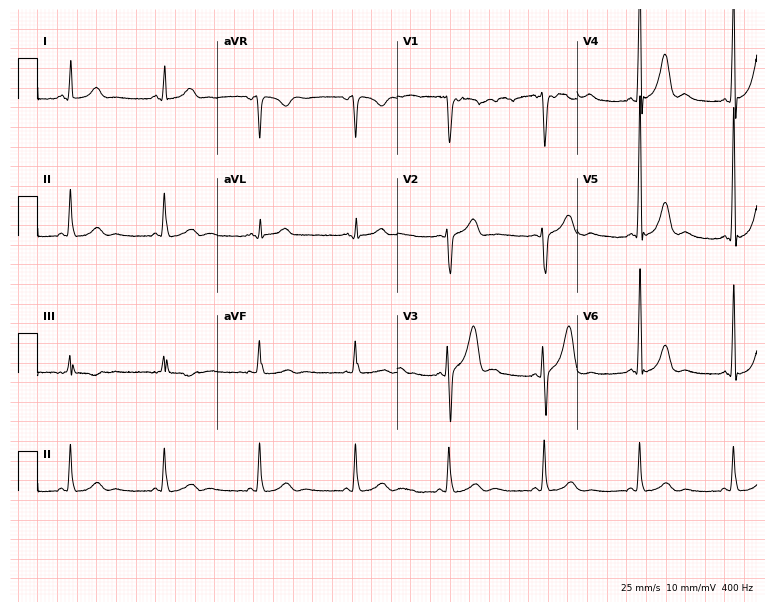
12-lead ECG from a 52-year-old male patient (7.3-second recording at 400 Hz). Recorded interpretation: within normal limits.